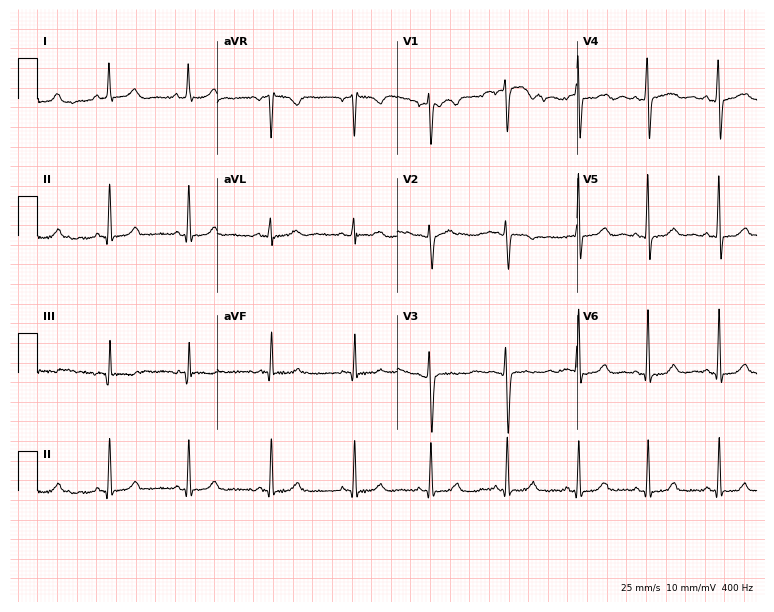
Resting 12-lead electrocardiogram (7.3-second recording at 400 Hz). Patient: a 28-year-old female. Read as a normal ECG.